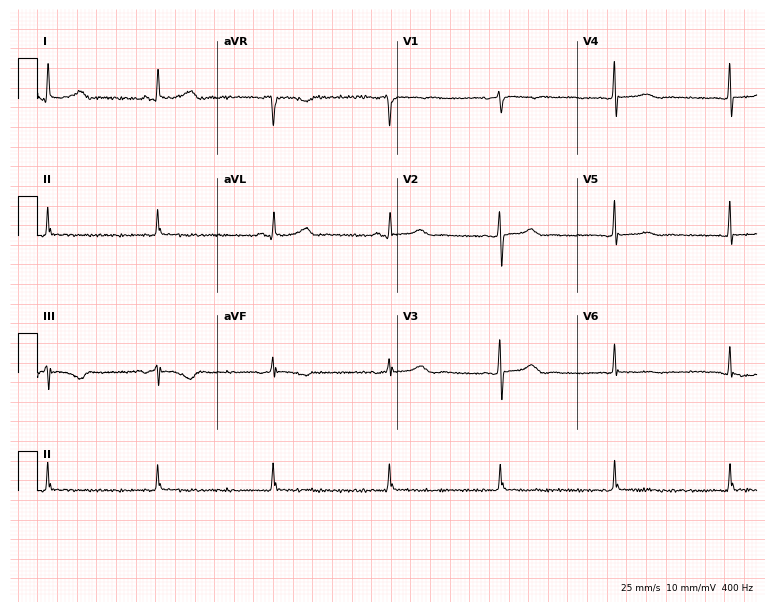
ECG (7.3-second recording at 400 Hz) — a 49-year-old female patient. Screened for six findings — first-degree AV block, right bundle branch block (RBBB), left bundle branch block (LBBB), sinus bradycardia, atrial fibrillation (AF), sinus tachycardia — none is recorded. Other findings, if any, are not listed.